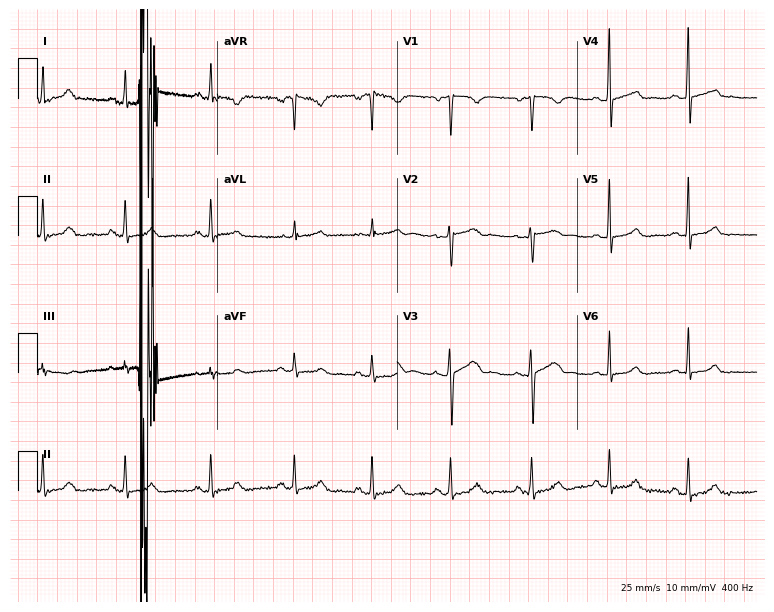
12-lead ECG from a 22-year-old female patient. Recorded interpretation: within normal limits.